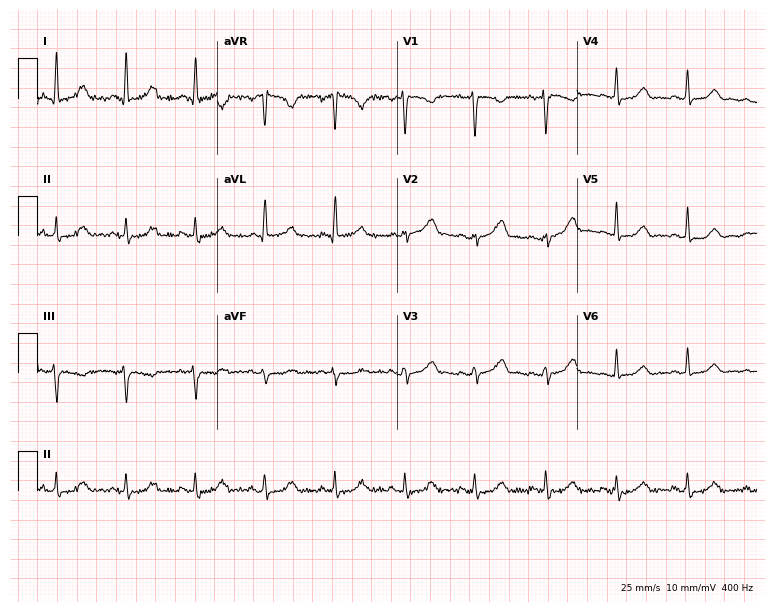
Standard 12-lead ECG recorded from a 37-year-old woman (7.3-second recording at 400 Hz). Read as a normal ECG.